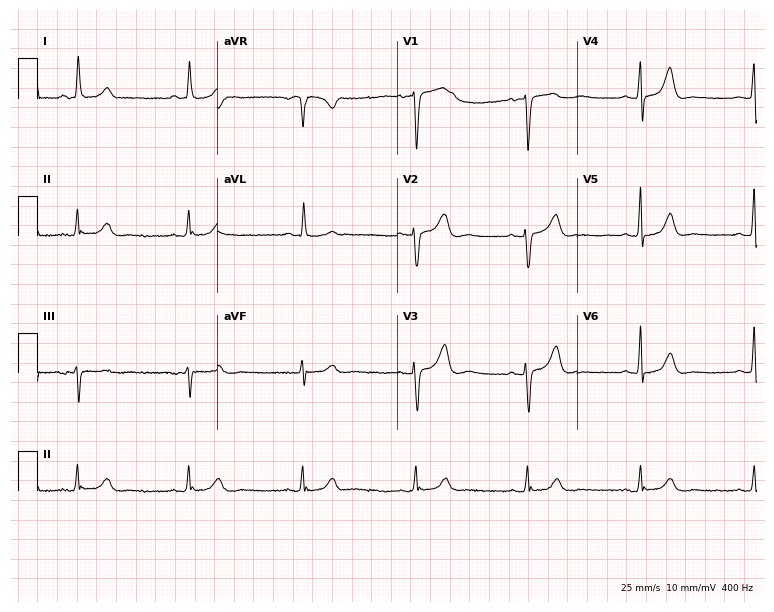
Resting 12-lead electrocardiogram. Patient: a man, 72 years old. Read as a normal ECG.